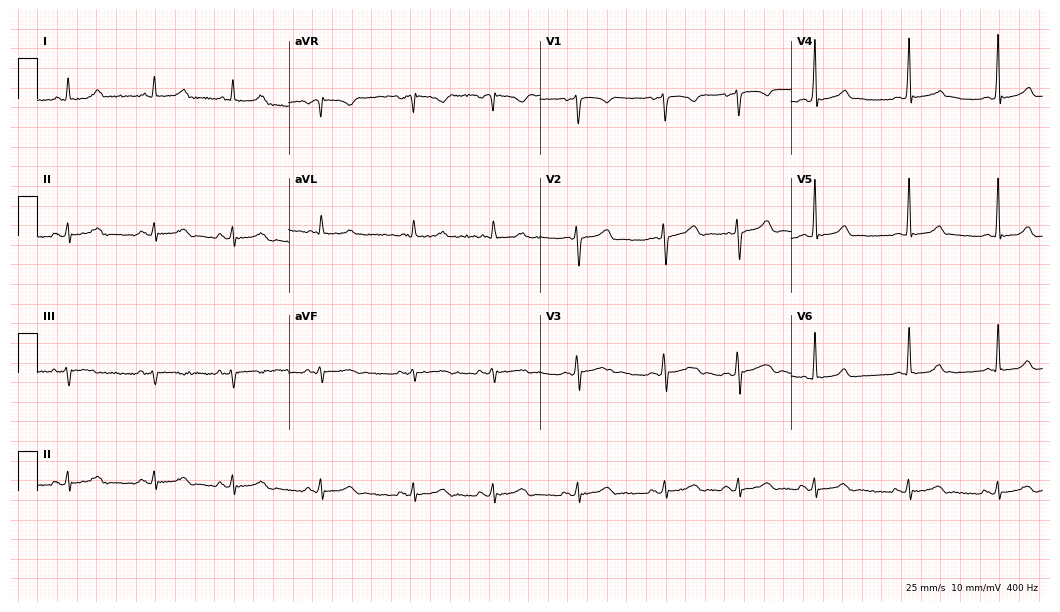
Standard 12-lead ECG recorded from a 17-year-old female (10.2-second recording at 400 Hz). Read as a normal ECG.